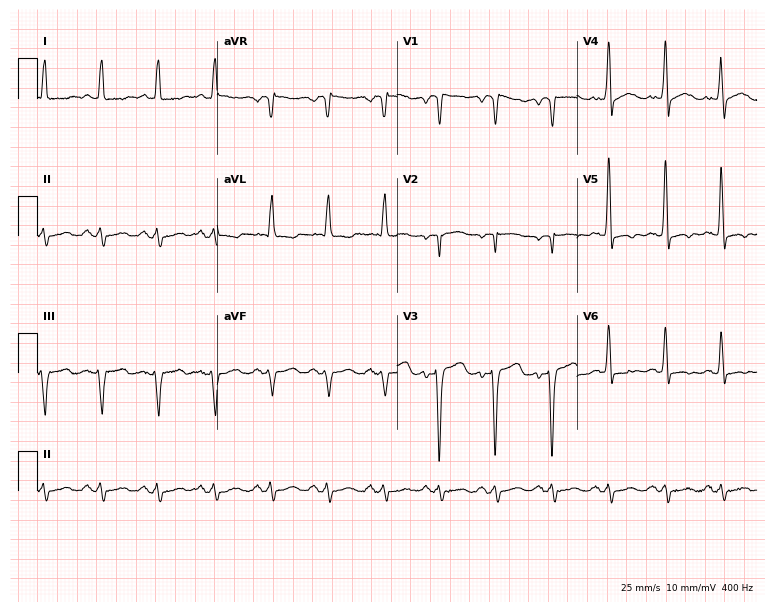
Resting 12-lead electrocardiogram. Patient: a female, 65 years old. None of these six findings is recorded: first-degree AV block, right bundle branch block, left bundle branch block, sinus bradycardia, atrial fibrillation, sinus tachycardia. Other findings, if any, are not listed.